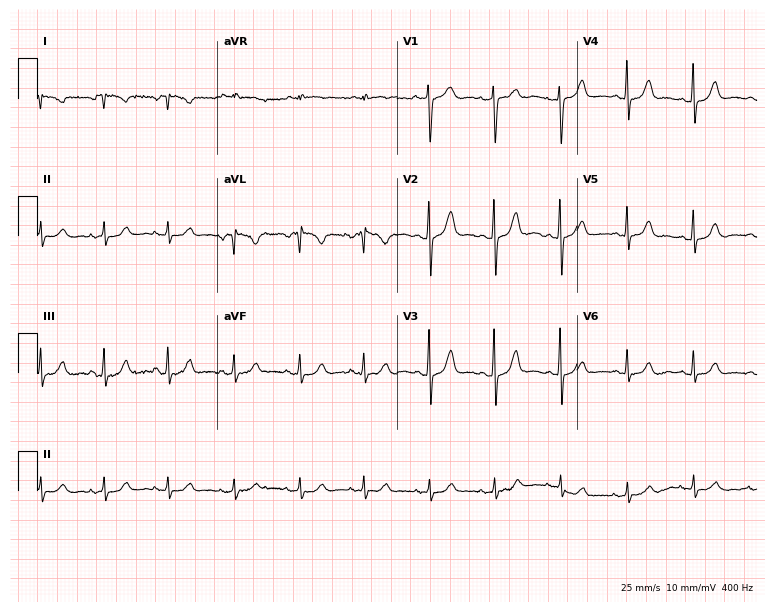
Resting 12-lead electrocardiogram. Patient: a female, 23 years old. None of these six findings is recorded: first-degree AV block, right bundle branch block, left bundle branch block, sinus bradycardia, atrial fibrillation, sinus tachycardia. Only these six findings were labelled.